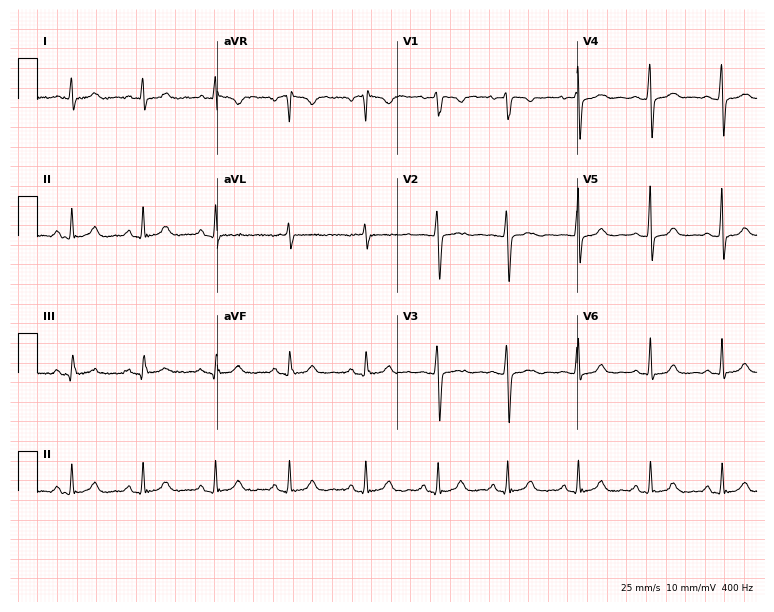
Resting 12-lead electrocardiogram. Patient: a female, 37 years old. Read as a normal ECG.